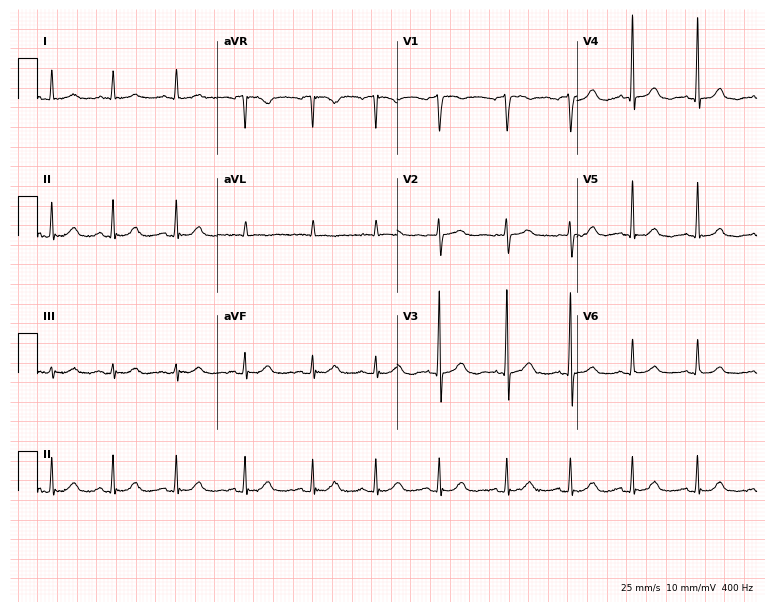
ECG — a female, 74 years old. Labelled as a normal ECG.